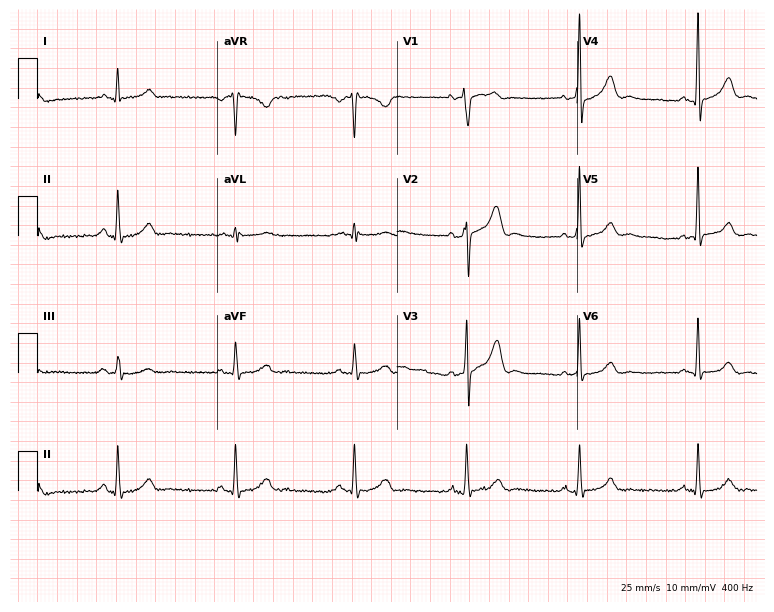
ECG (7.3-second recording at 400 Hz) — a 51-year-old male patient. Labelled as a normal ECG.